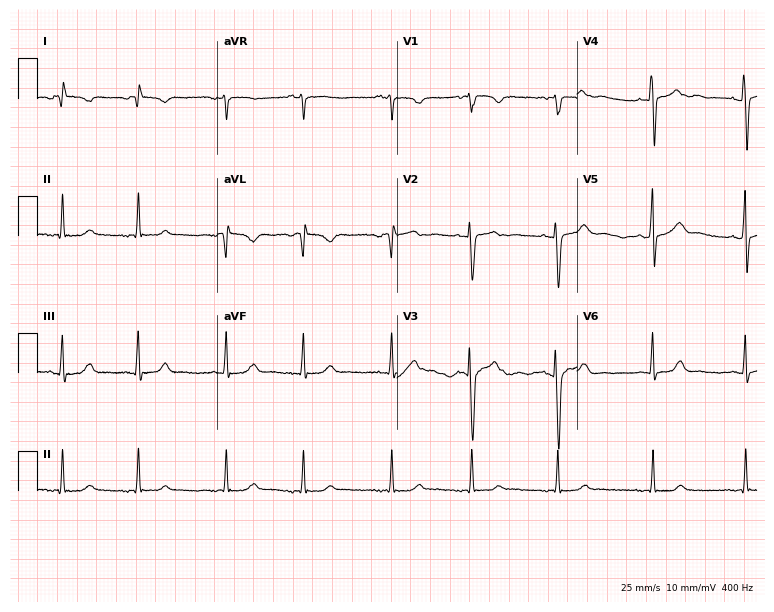
ECG (7.3-second recording at 400 Hz) — an 18-year-old female. Screened for six findings — first-degree AV block, right bundle branch block, left bundle branch block, sinus bradycardia, atrial fibrillation, sinus tachycardia — none is recorded.